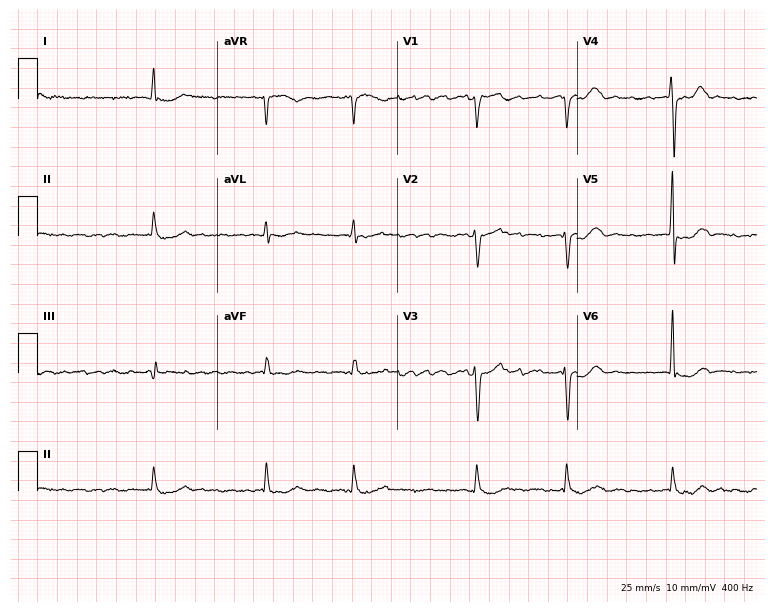
ECG (7.3-second recording at 400 Hz) — a 77-year-old male patient. Findings include atrial fibrillation.